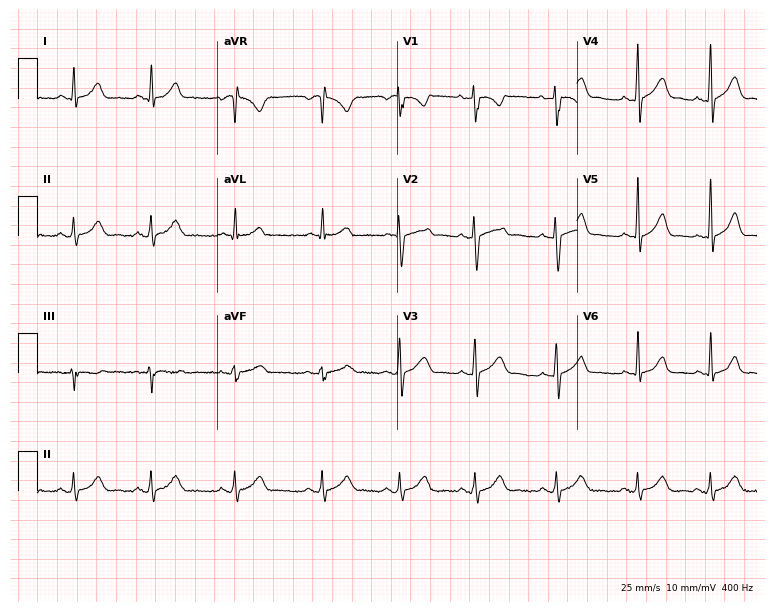
Resting 12-lead electrocardiogram. Patient: a female, 28 years old. Read as a normal ECG.